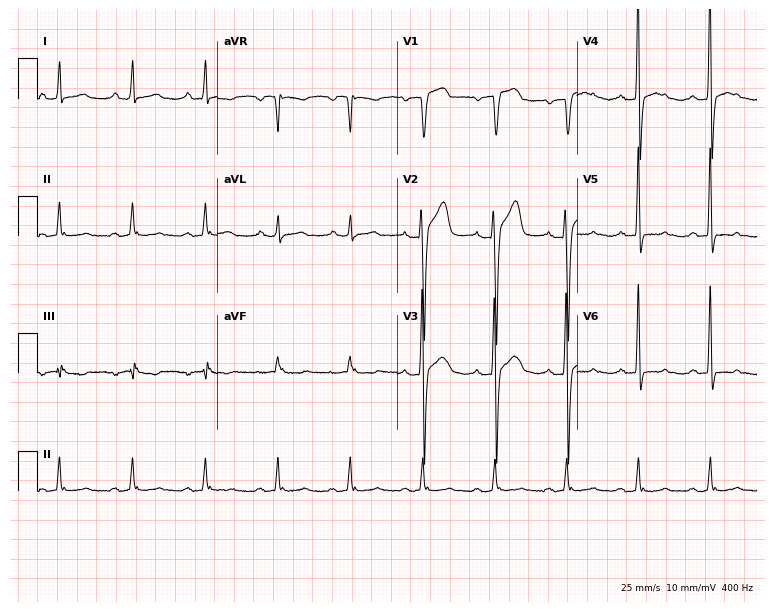
12-lead ECG from a woman, 42 years old (7.3-second recording at 400 Hz). No first-degree AV block, right bundle branch block (RBBB), left bundle branch block (LBBB), sinus bradycardia, atrial fibrillation (AF) or sinus tachycardia recorded for this tracing.